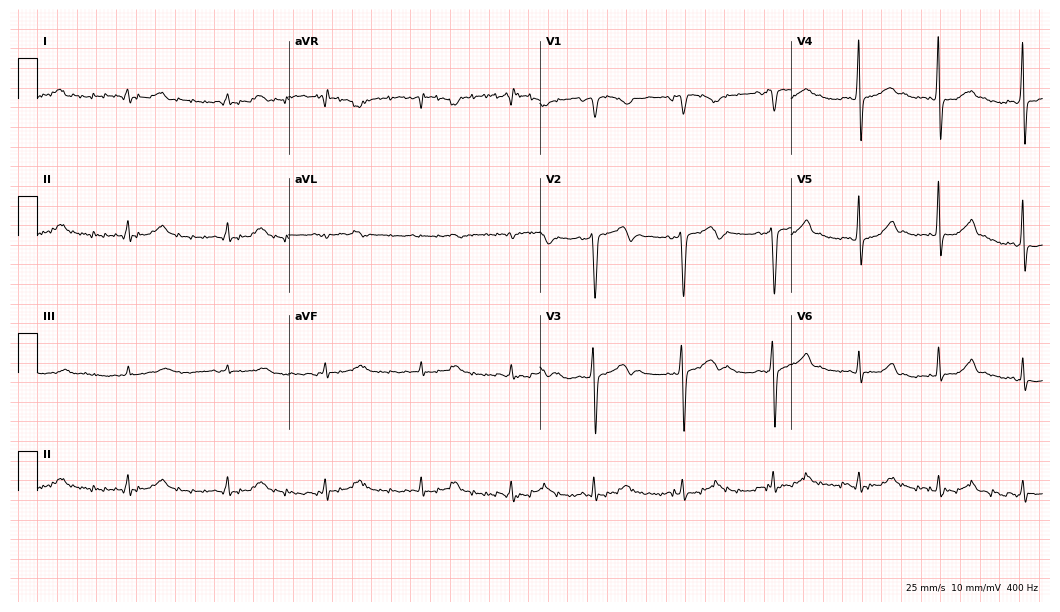
ECG (10.2-second recording at 400 Hz) — a man, 32 years old. Screened for six findings — first-degree AV block, right bundle branch block (RBBB), left bundle branch block (LBBB), sinus bradycardia, atrial fibrillation (AF), sinus tachycardia — none is recorded.